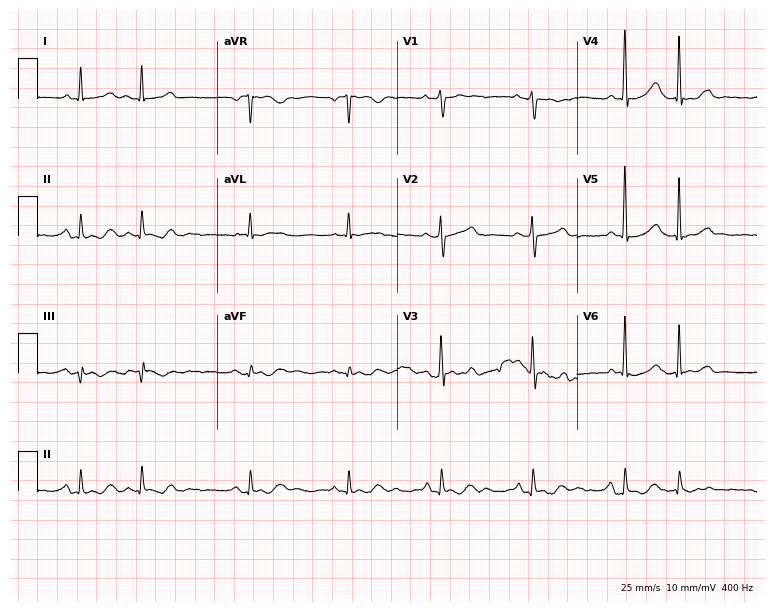
Electrocardiogram, a woman, 68 years old. Of the six screened findings (first-degree AV block, right bundle branch block, left bundle branch block, sinus bradycardia, atrial fibrillation, sinus tachycardia), none is recorded.